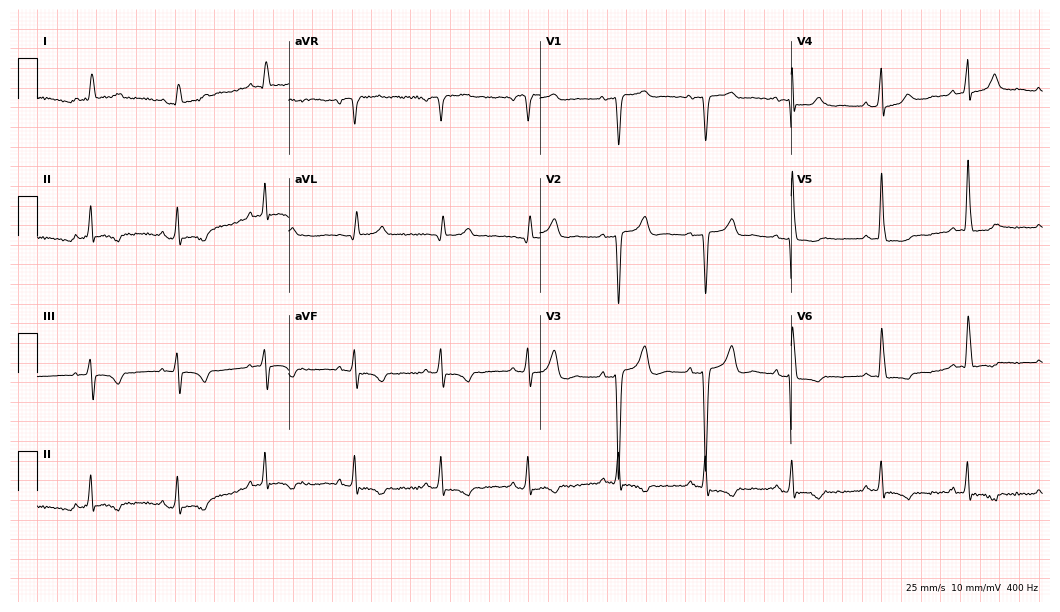
12-lead ECG from a female patient, 40 years old (10.2-second recording at 400 Hz). No first-degree AV block, right bundle branch block, left bundle branch block, sinus bradycardia, atrial fibrillation or sinus tachycardia recorded for this tracing.